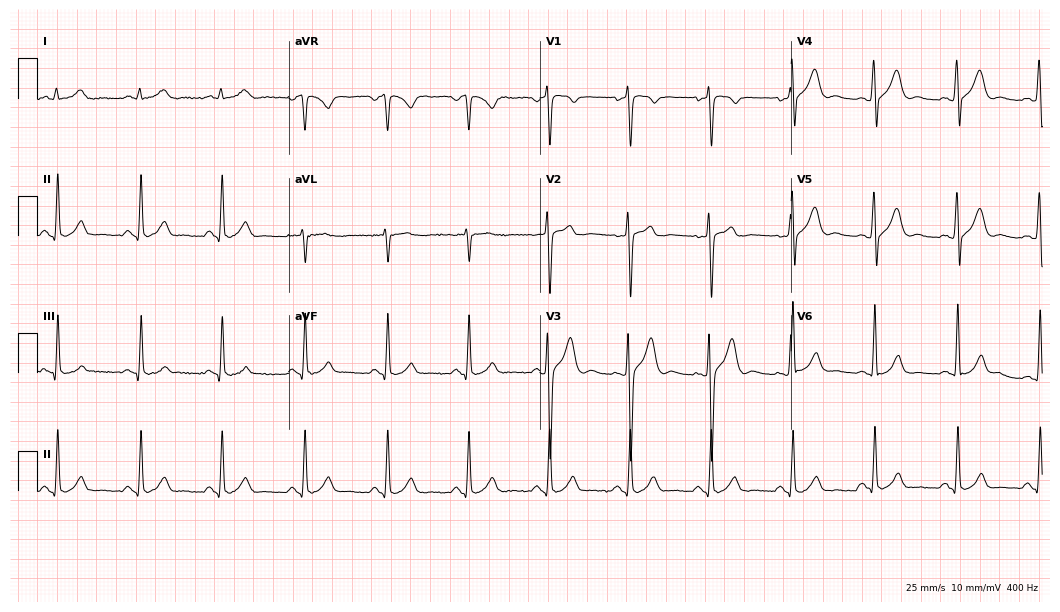
12-lead ECG from a 27-year-old man. Recorded interpretation: within normal limits.